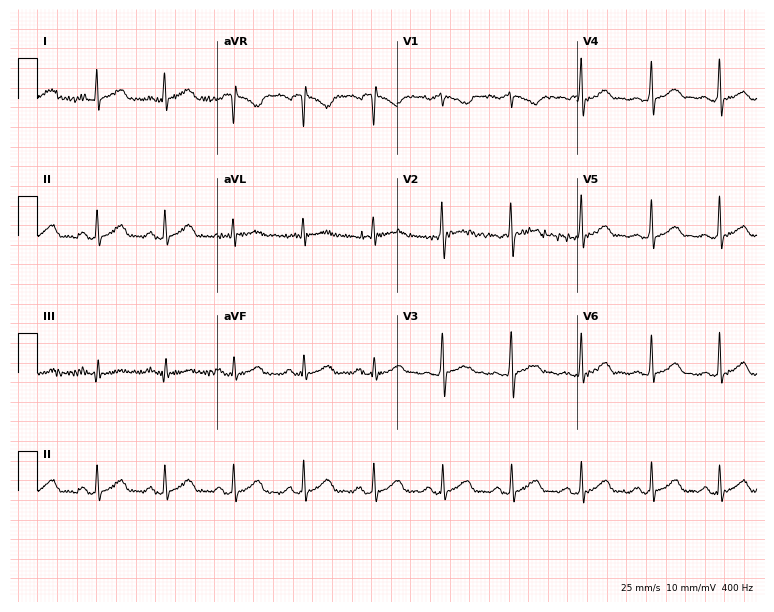
12-lead ECG from a 50-year-old male patient (7.3-second recording at 400 Hz). Recorded interpretation: within normal limits.